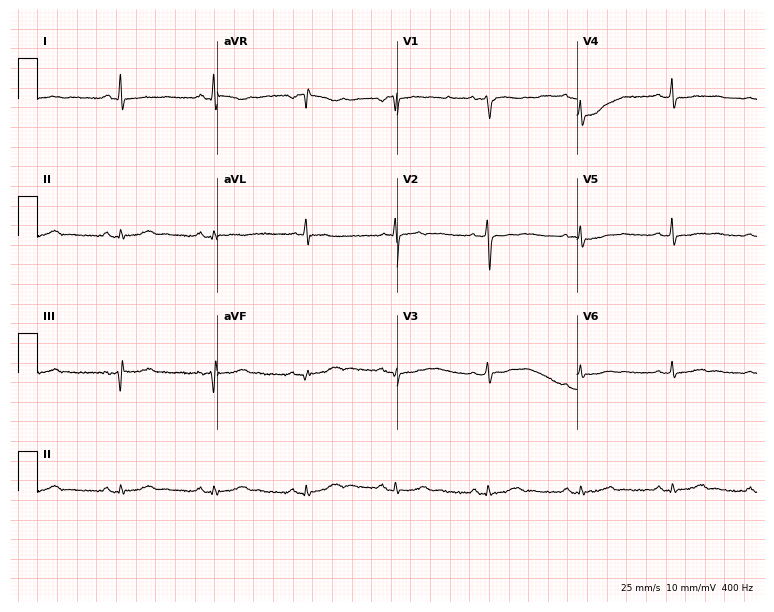
12-lead ECG from a 46-year-old woman (7.3-second recording at 400 Hz). No first-degree AV block, right bundle branch block (RBBB), left bundle branch block (LBBB), sinus bradycardia, atrial fibrillation (AF) or sinus tachycardia recorded for this tracing. Only these six findings were labelled.